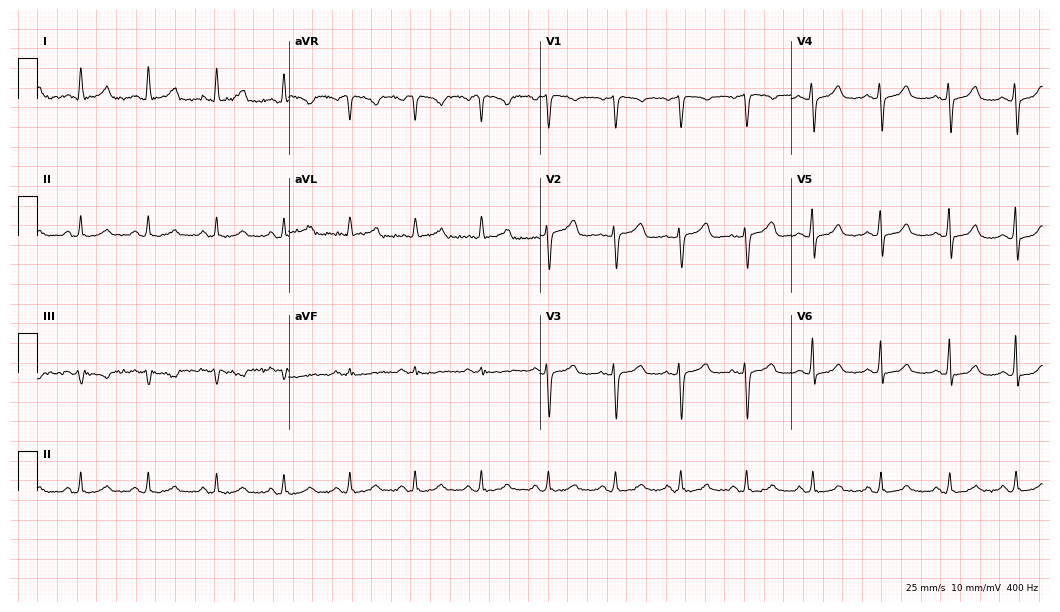
ECG (10.2-second recording at 400 Hz) — a female patient, 48 years old. Labelled as a normal ECG.